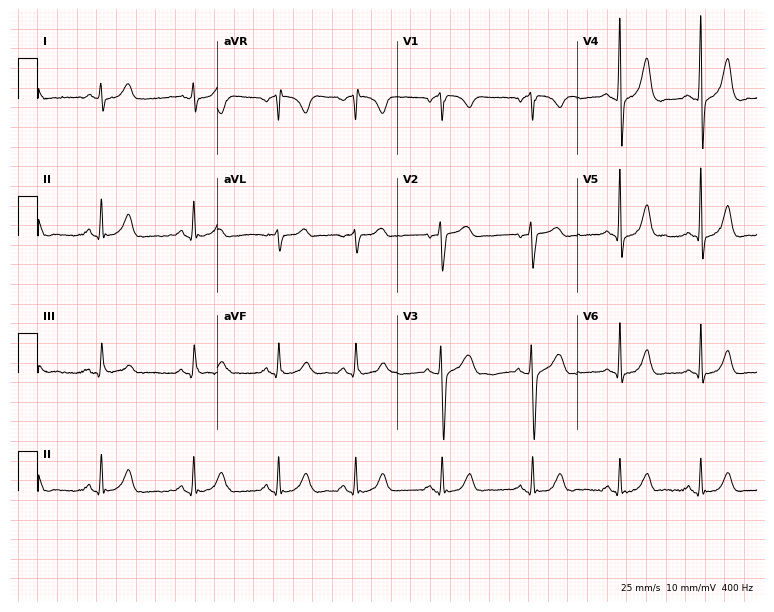
Resting 12-lead electrocardiogram (7.3-second recording at 400 Hz). Patient: a man, 27 years old. None of these six findings is recorded: first-degree AV block, right bundle branch block, left bundle branch block, sinus bradycardia, atrial fibrillation, sinus tachycardia.